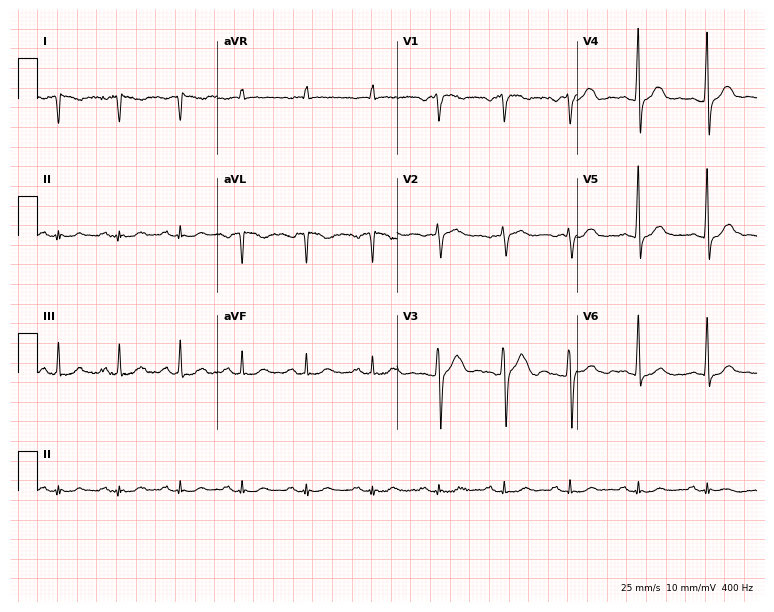
Standard 12-lead ECG recorded from a 67-year-old male. None of these six findings is recorded: first-degree AV block, right bundle branch block, left bundle branch block, sinus bradycardia, atrial fibrillation, sinus tachycardia.